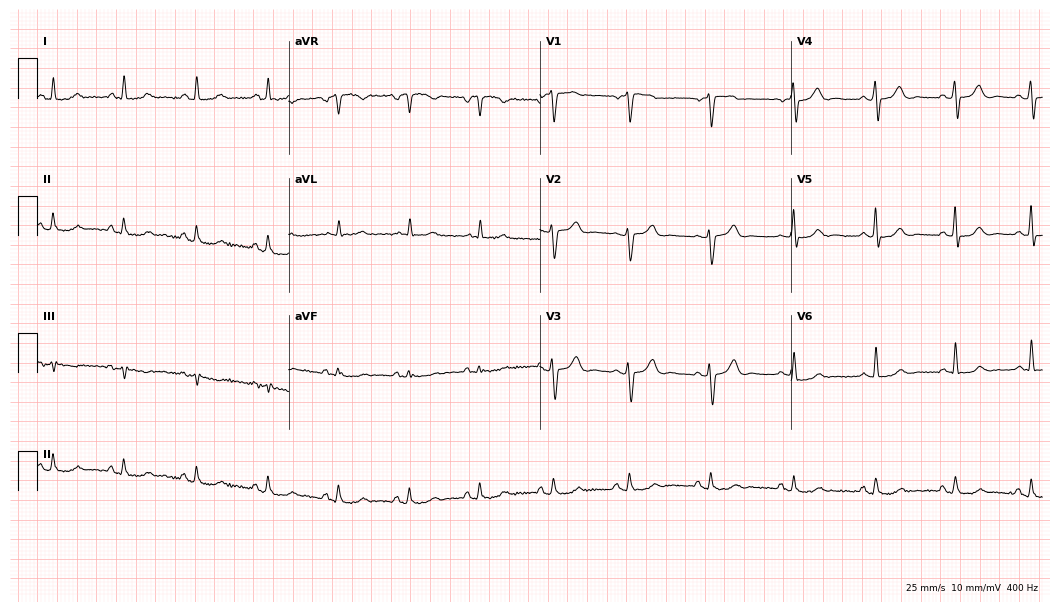
12-lead ECG from a male, 69 years old. Labelled as a normal ECG.